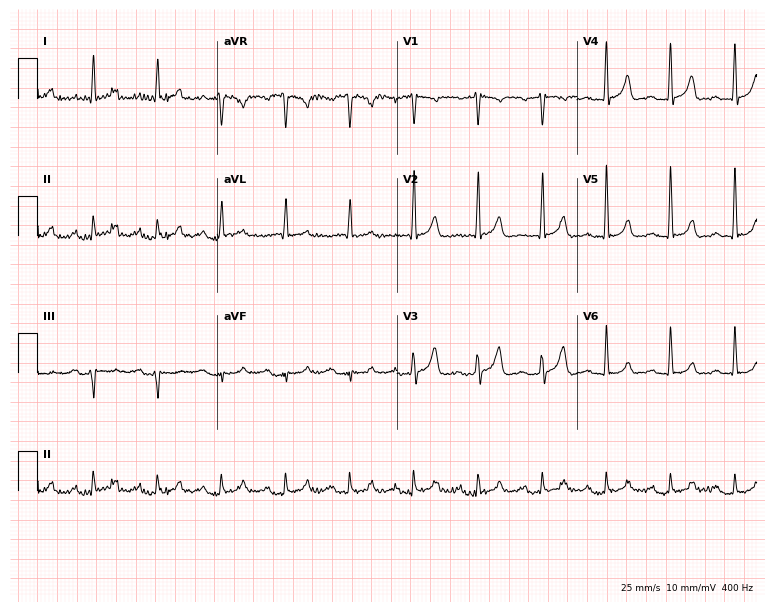
12-lead ECG (7.3-second recording at 400 Hz) from a man, 65 years old. Screened for six findings — first-degree AV block, right bundle branch block, left bundle branch block, sinus bradycardia, atrial fibrillation, sinus tachycardia — none is recorded. Other findings, if any, are not listed.